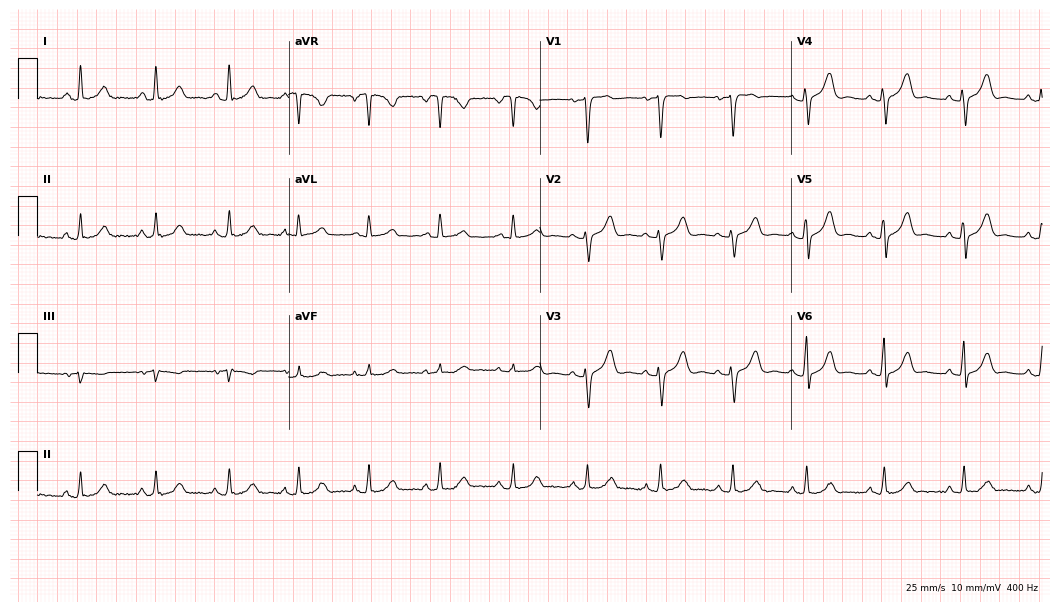
12-lead ECG from a 51-year-old female. Labelled as a normal ECG.